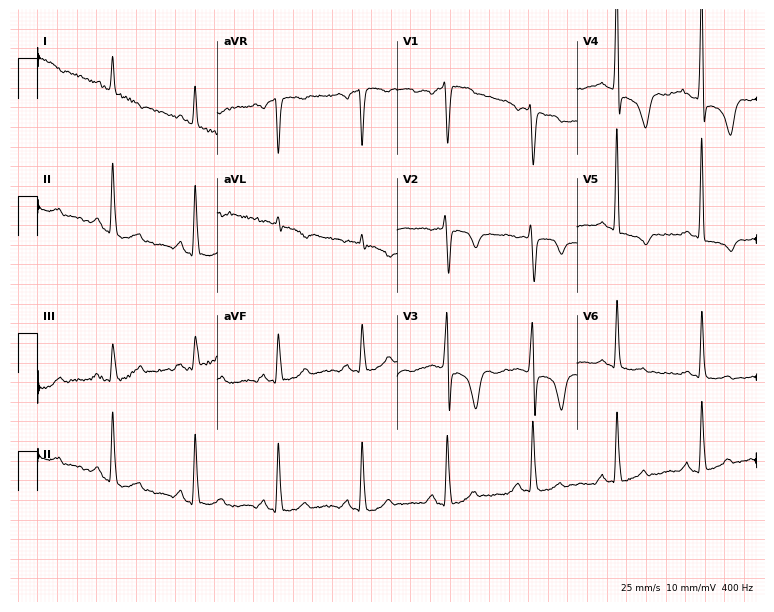
ECG (7.3-second recording at 400 Hz) — a 79-year-old male patient. Screened for six findings — first-degree AV block, right bundle branch block (RBBB), left bundle branch block (LBBB), sinus bradycardia, atrial fibrillation (AF), sinus tachycardia — none is recorded.